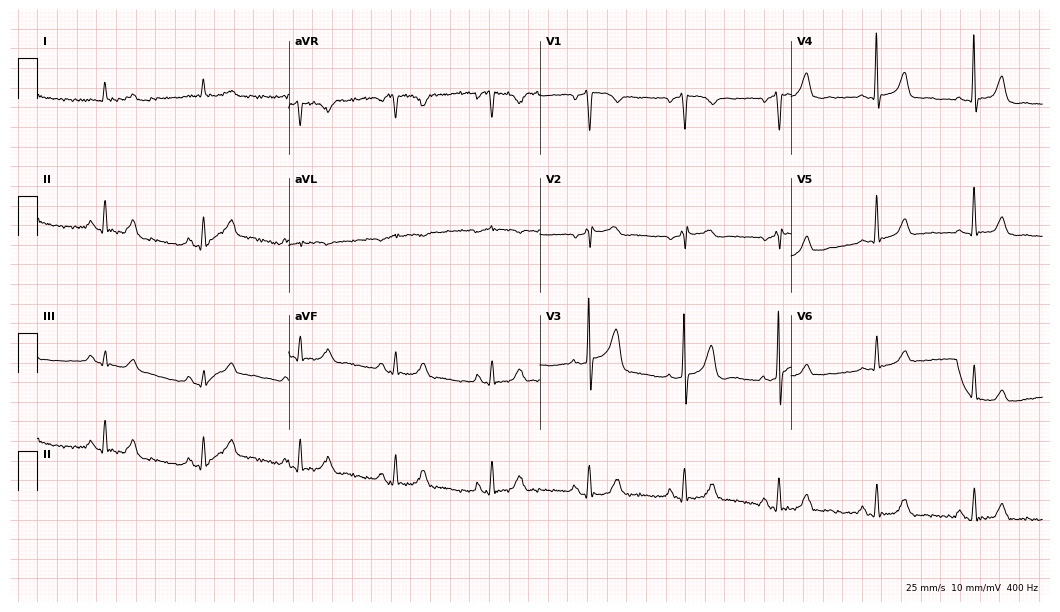
Standard 12-lead ECG recorded from a 65-year-old male patient. Read as a normal ECG.